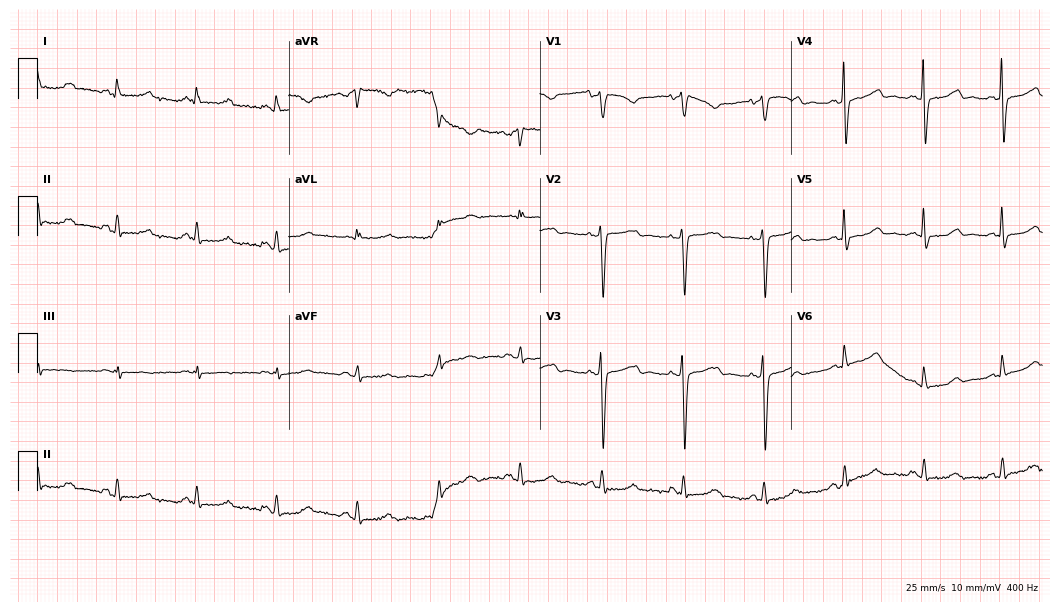
Electrocardiogram, a woman, 51 years old. Overall reading on record: normal ECG.